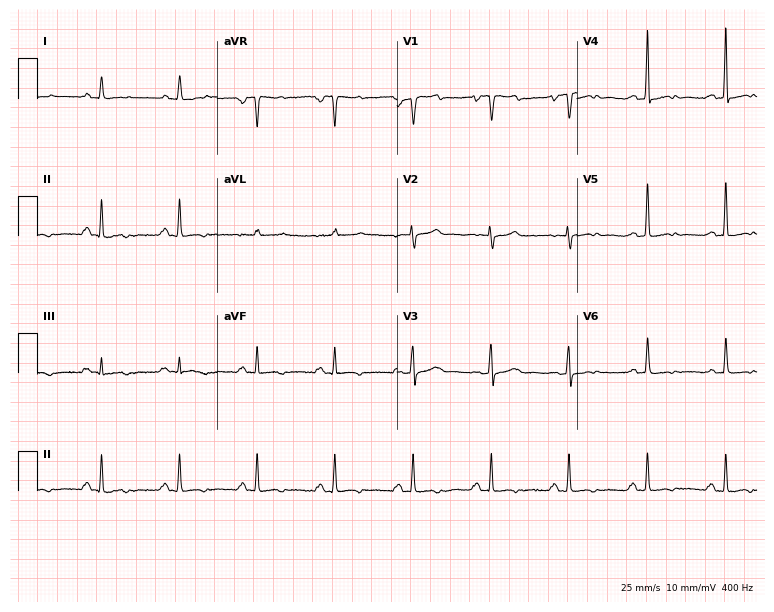
12-lead ECG (7.3-second recording at 400 Hz) from a female patient, 66 years old. Screened for six findings — first-degree AV block, right bundle branch block (RBBB), left bundle branch block (LBBB), sinus bradycardia, atrial fibrillation (AF), sinus tachycardia — none is recorded. Other findings, if any, are not listed.